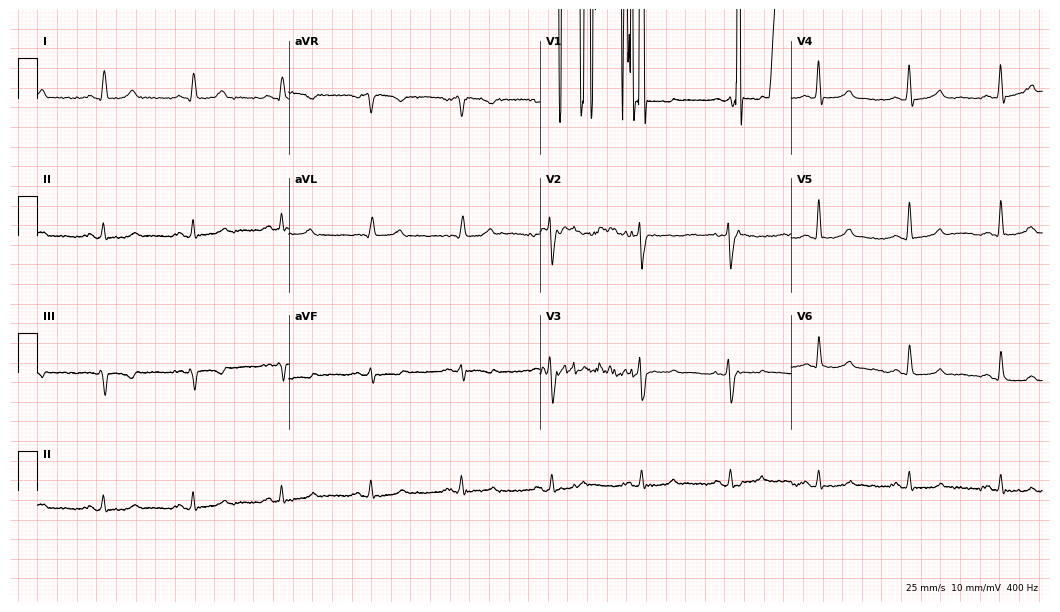
12-lead ECG from a female, 62 years old. No first-degree AV block, right bundle branch block, left bundle branch block, sinus bradycardia, atrial fibrillation or sinus tachycardia recorded for this tracing.